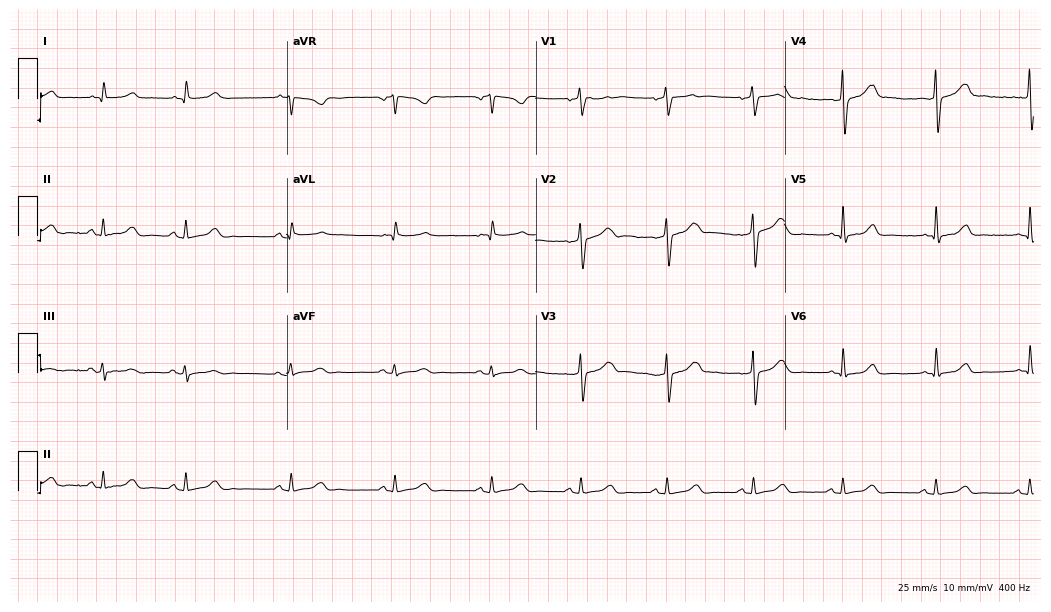
Resting 12-lead electrocardiogram (10.2-second recording at 400 Hz). Patient: a male, 49 years old. Read as a normal ECG.